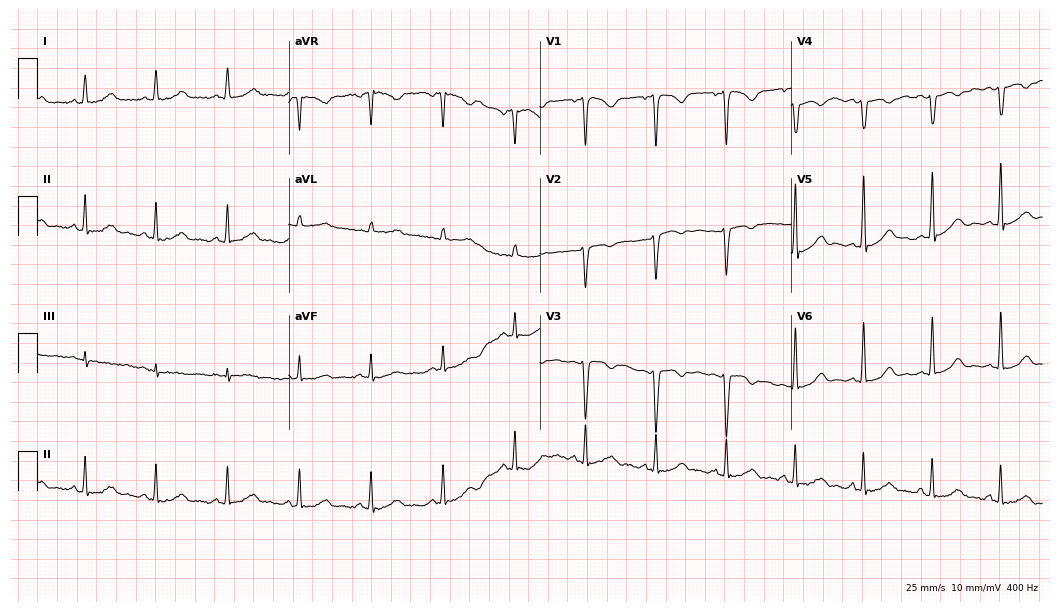
ECG — a 49-year-old female. Labelled as a normal ECG.